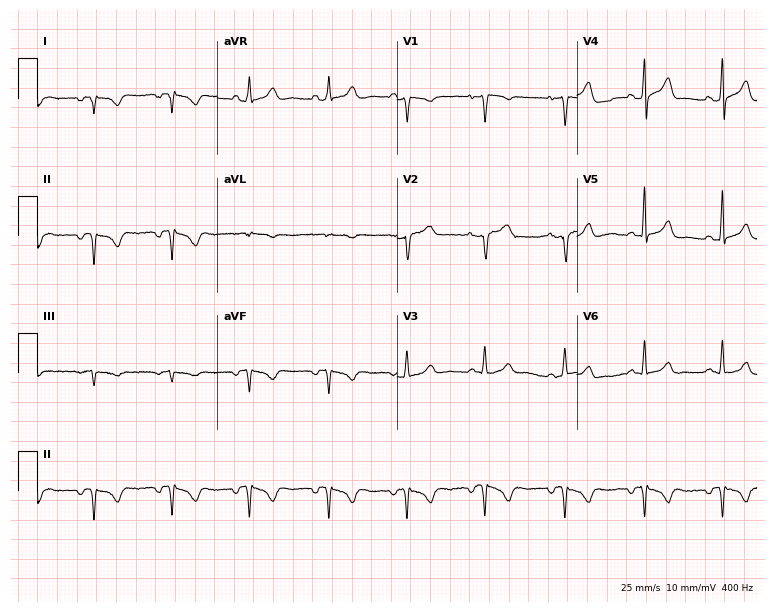
12-lead ECG from a male patient, 46 years old. Screened for six findings — first-degree AV block, right bundle branch block (RBBB), left bundle branch block (LBBB), sinus bradycardia, atrial fibrillation (AF), sinus tachycardia — none is recorded. Findings outside these six are not listed.